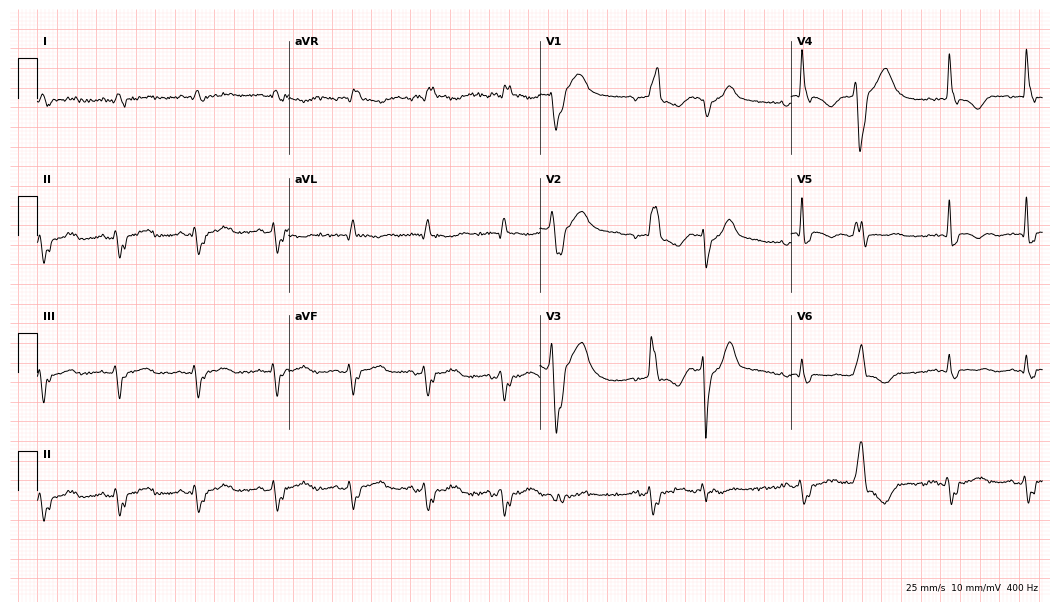
ECG (10.2-second recording at 400 Hz) — a 67-year-old male patient. Findings include right bundle branch block.